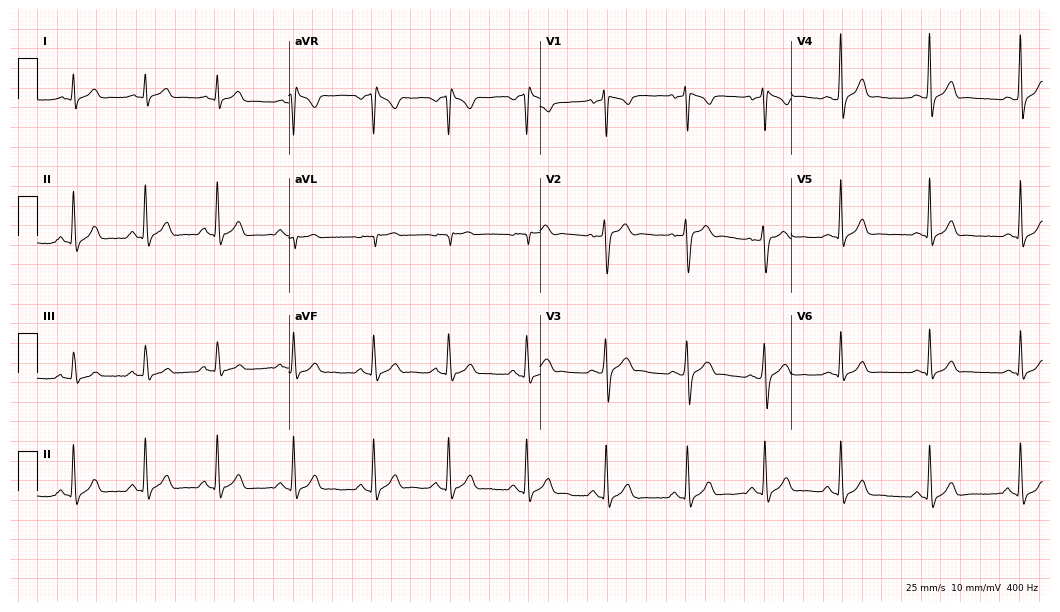
ECG (10.2-second recording at 400 Hz) — a 20-year-old male. Screened for six findings — first-degree AV block, right bundle branch block (RBBB), left bundle branch block (LBBB), sinus bradycardia, atrial fibrillation (AF), sinus tachycardia — none is recorded.